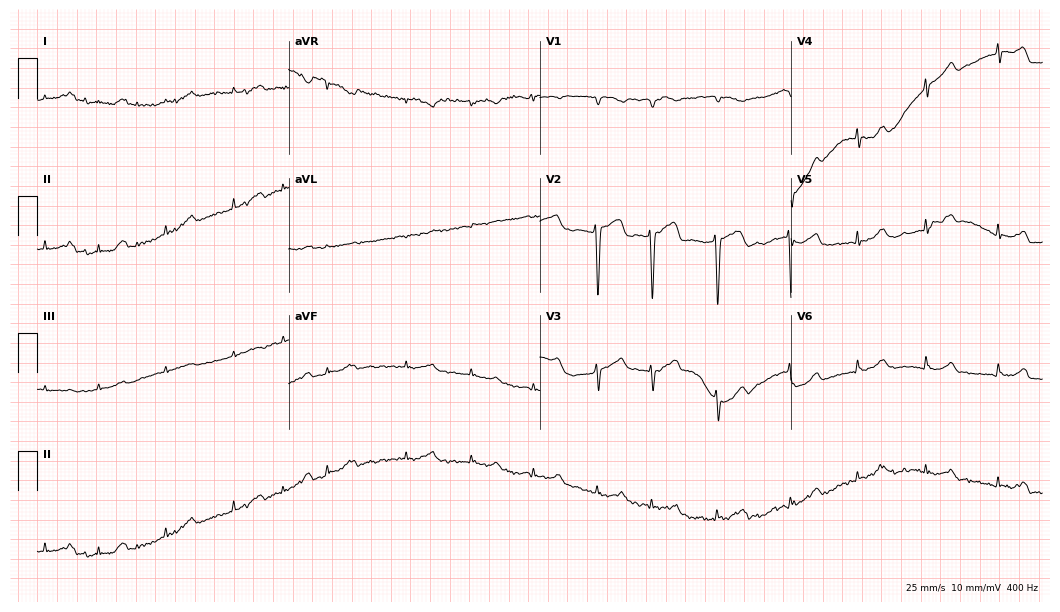
Electrocardiogram, an 82-year-old female. Interpretation includes atrial fibrillation (AF).